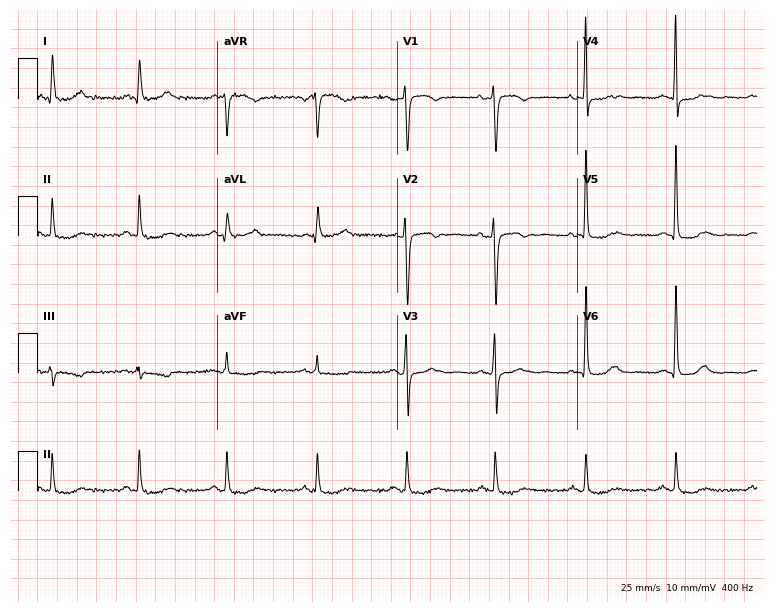
ECG — a woman, 65 years old. Screened for six findings — first-degree AV block, right bundle branch block (RBBB), left bundle branch block (LBBB), sinus bradycardia, atrial fibrillation (AF), sinus tachycardia — none is recorded. Other findings, if any, are not listed.